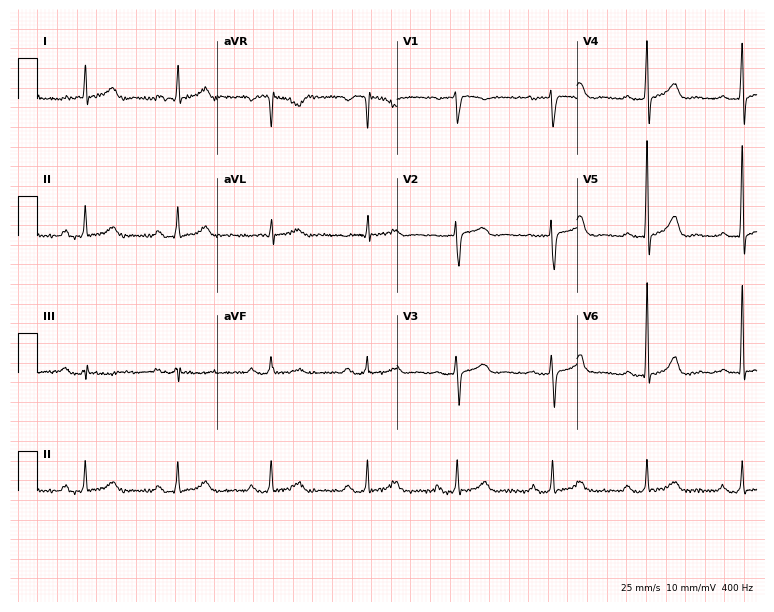
12-lead ECG from a 52-year-old female. Screened for six findings — first-degree AV block, right bundle branch block, left bundle branch block, sinus bradycardia, atrial fibrillation, sinus tachycardia — none is recorded.